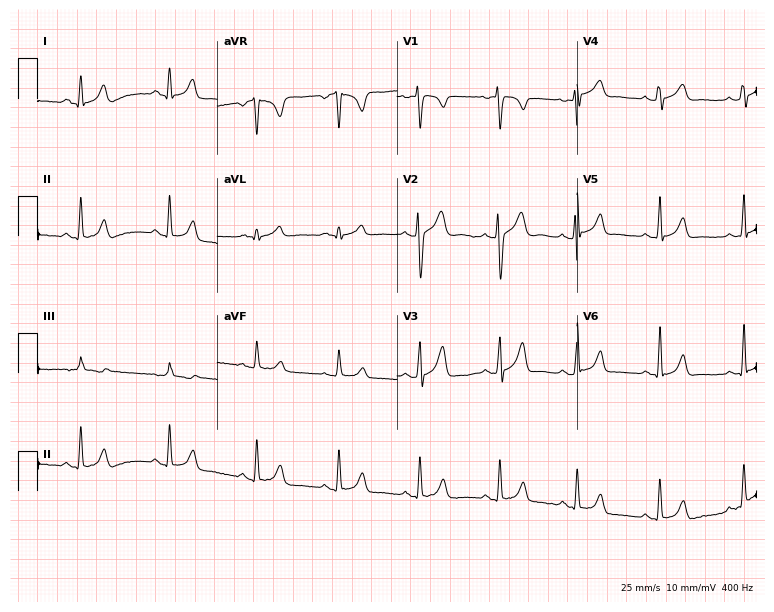
Electrocardiogram (7.3-second recording at 400 Hz), a 21-year-old female patient. Of the six screened findings (first-degree AV block, right bundle branch block (RBBB), left bundle branch block (LBBB), sinus bradycardia, atrial fibrillation (AF), sinus tachycardia), none is recorded.